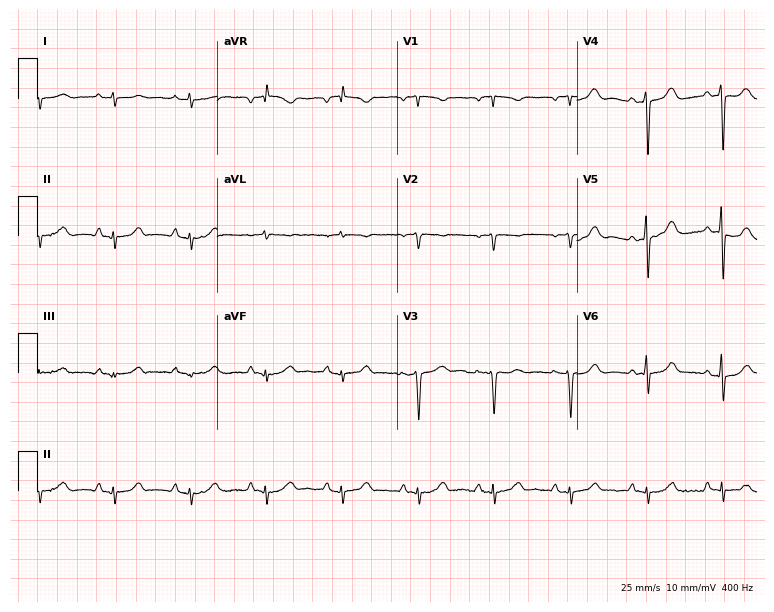
12-lead ECG from a 51-year-old female patient. No first-degree AV block, right bundle branch block, left bundle branch block, sinus bradycardia, atrial fibrillation or sinus tachycardia recorded for this tracing. Findings outside these six are not listed.